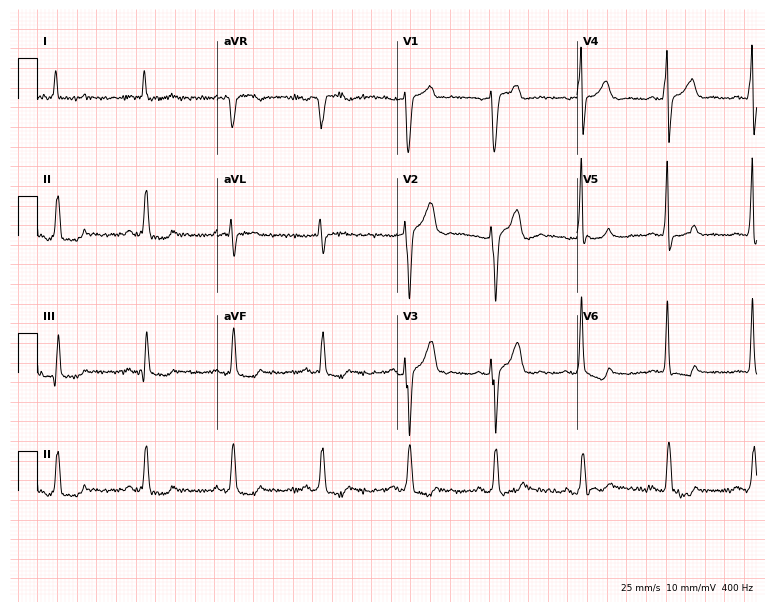
ECG — a 74-year-old man. Screened for six findings — first-degree AV block, right bundle branch block (RBBB), left bundle branch block (LBBB), sinus bradycardia, atrial fibrillation (AF), sinus tachycardia — none is recorded. Findings outside these six are not listed.